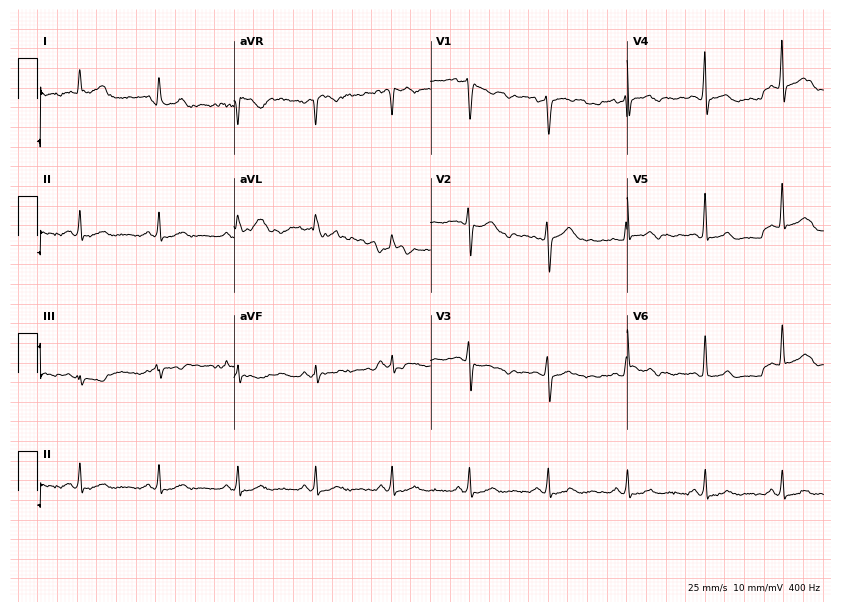
Standard 12-lead ECG recorded from a female patient, 32 years old (8-second recording at 400 Hz). None of these six findings is recorded: first-degree AV block, right bundle branch block (RBBB), left bundle branch block (LBBB), sinus bradycardia, atrial fibrillation (AF), sinus tachycardia. Findings outside these six are not listed.